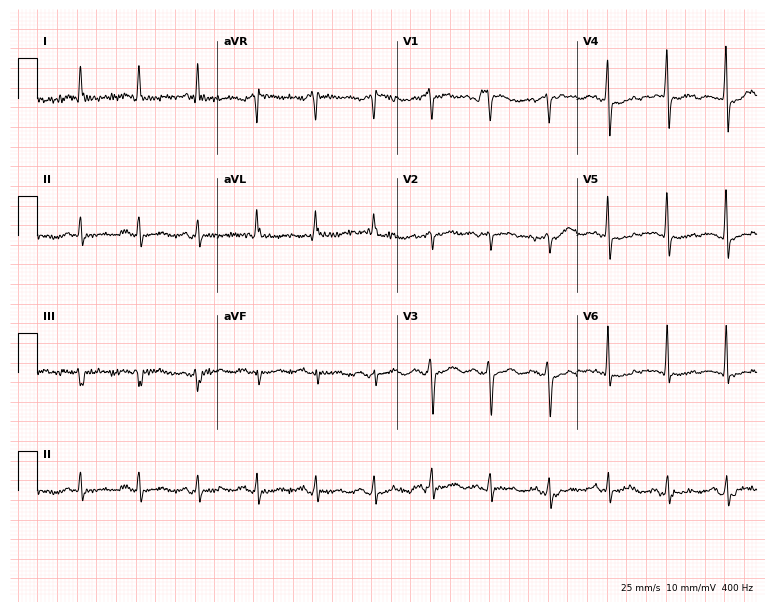
12-lead ECG from a male, 75 years old (7.3-second recording at 400 Hz). No first-degree AV block, right bundle branch block (RBBB), left bundle branch block (LBBB), sinus bradycardia, atrial fibrillation (AF) or sinus tachycardia recorded for this tracing.